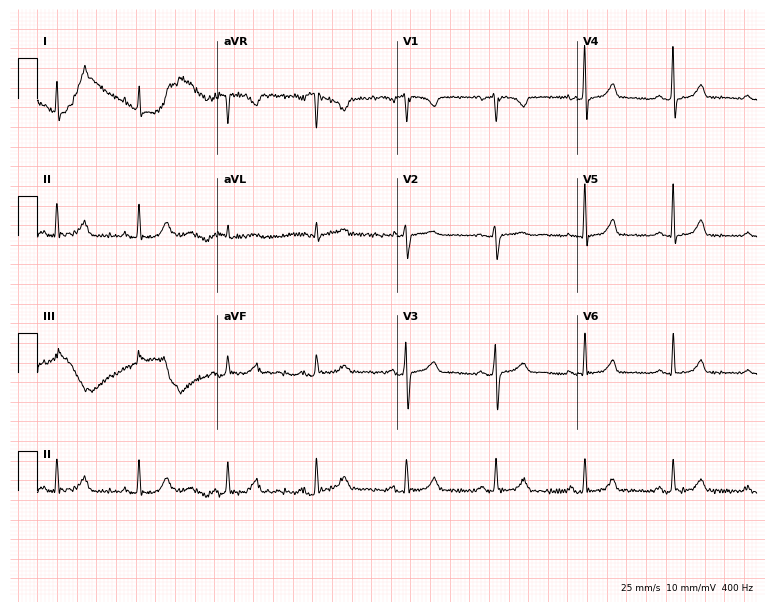
12-lead ECG from a 38-year-old female patient. Recorded interpretation: within normal limits.